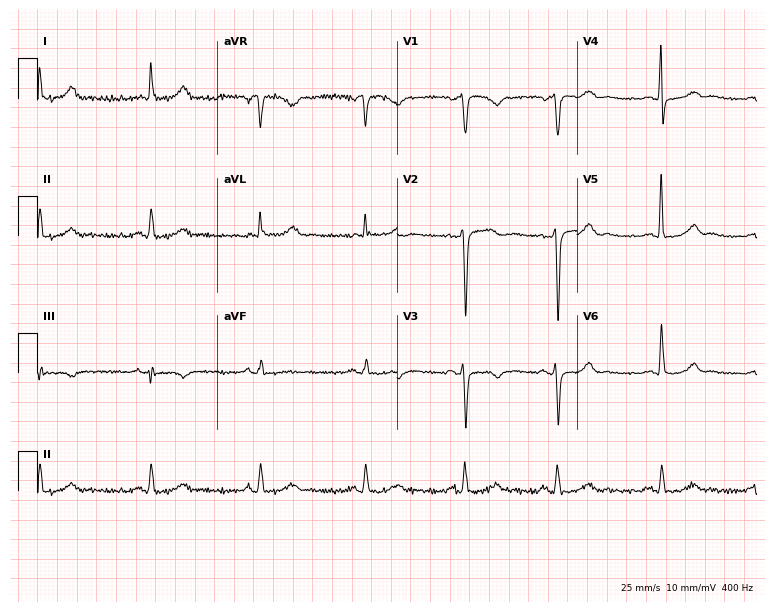
Resting 12-lead electrocardiogram. Patient: a 77-year-old male. Read as a normal ECG.